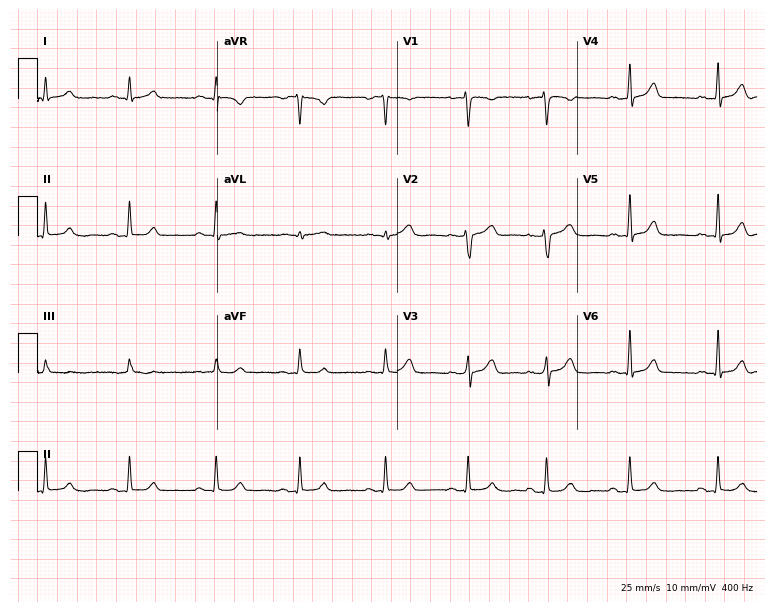
12-lead ECG from a 38-year-old woman. Recorded interpretation: within normal limits.